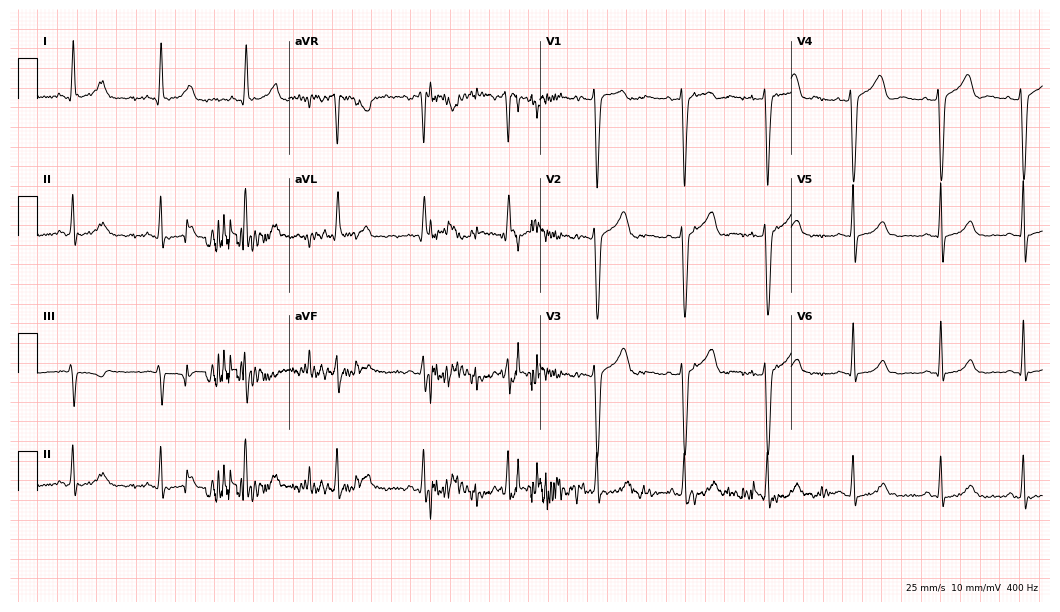
Standard 12-lead ECG recorded from a female, 33 years old (10.2-second recording at 400 Hz). None of these six findings is recorded: first-degree AV block, right bundle branch block, left bundle branch block, sinus bradycardia, atrial fibrillation, sinus tachycardia. Only these six findings were labelled.